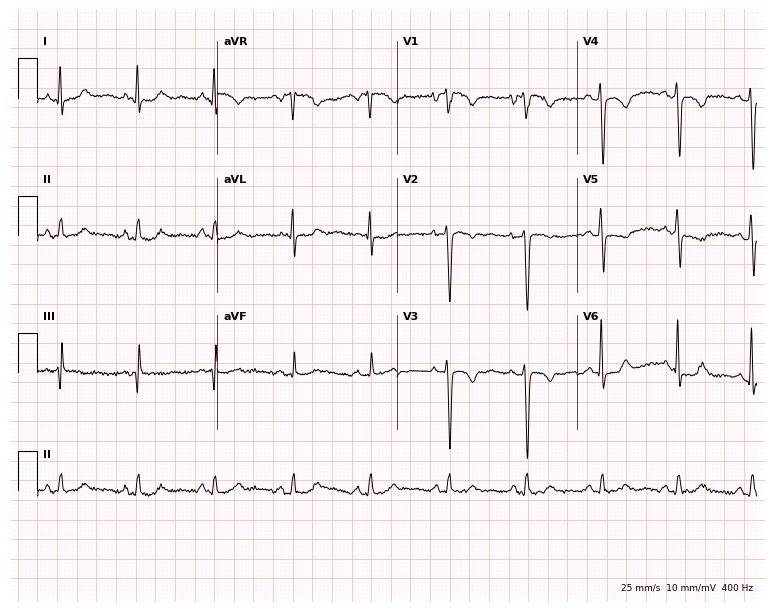
12-lead ECG (7.3-second recording at 400 Hz) from a man, 73 years old. Screened for six findings — first-degree AV block, right bundle branch block, left bundle branch block, sinus bradycardia, atrial fibrillation, sinus tachycardia — none is recorded. Only these six findings were labelled.